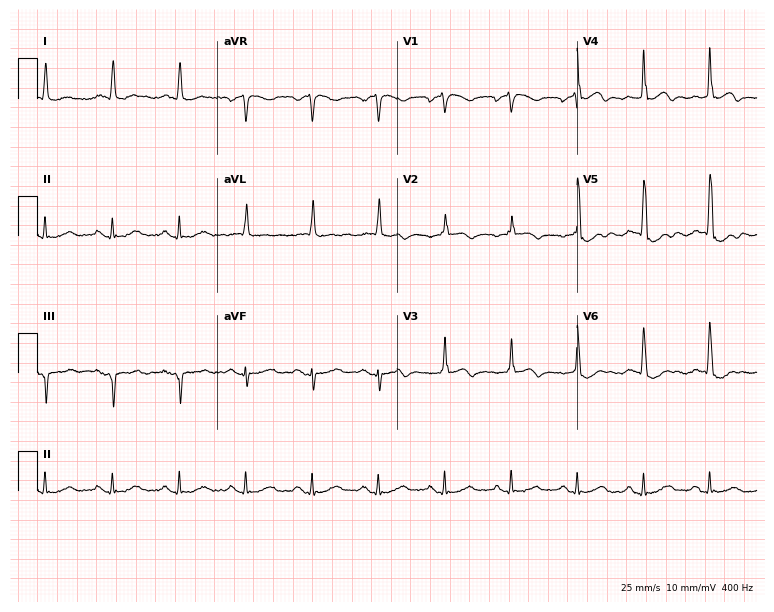
Electrocardiogram (7.3-second recording at 400 Hz), a 72-year-old man. Of the six screened findings (first-degree AV block, right bundle branch block, left bundle branch block, sinus bradycardia, atrial fibrillation, sinus tachycardia), none is recorded. Only these six findings were labelled.